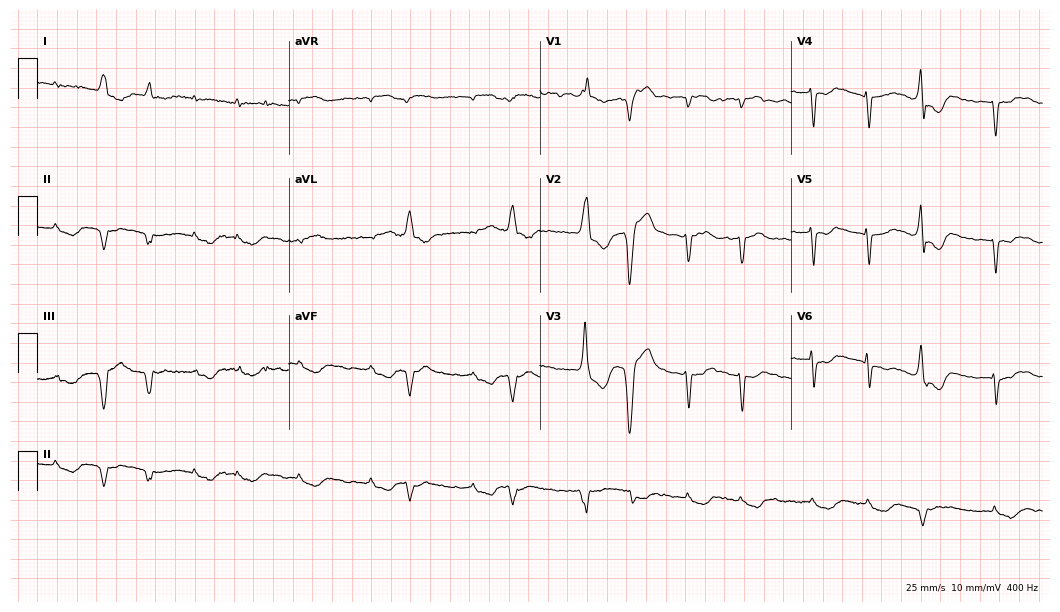
Standard 12-lead ECG recorded from an 82-year-old man. None of these six findings is recorded: first-degree AV block, right bundle branch block, left bundle branch block, sinus bradycardia, atrial fibrillation, sinus tachycardia. Findings outside these six are not listed.